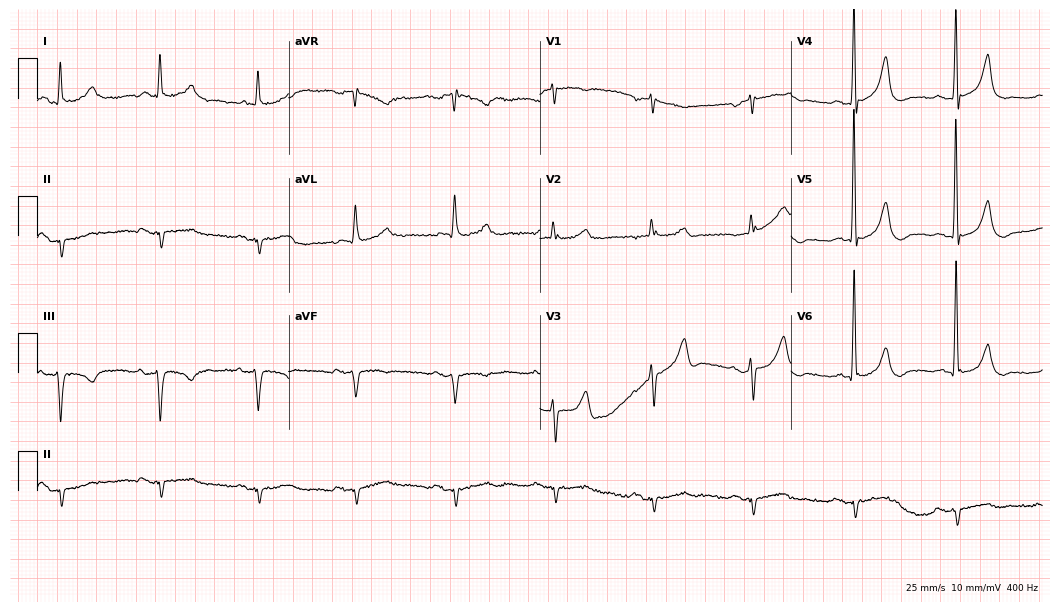
Resting 12-lead electrocardiogram. Patient: a male, 78 years old. None of these six findings is recorded: first-degree AV block, right bundle branch block, left bundle branch block, sinus bradycardia, atrial fibrillation, sinus tachycardia.